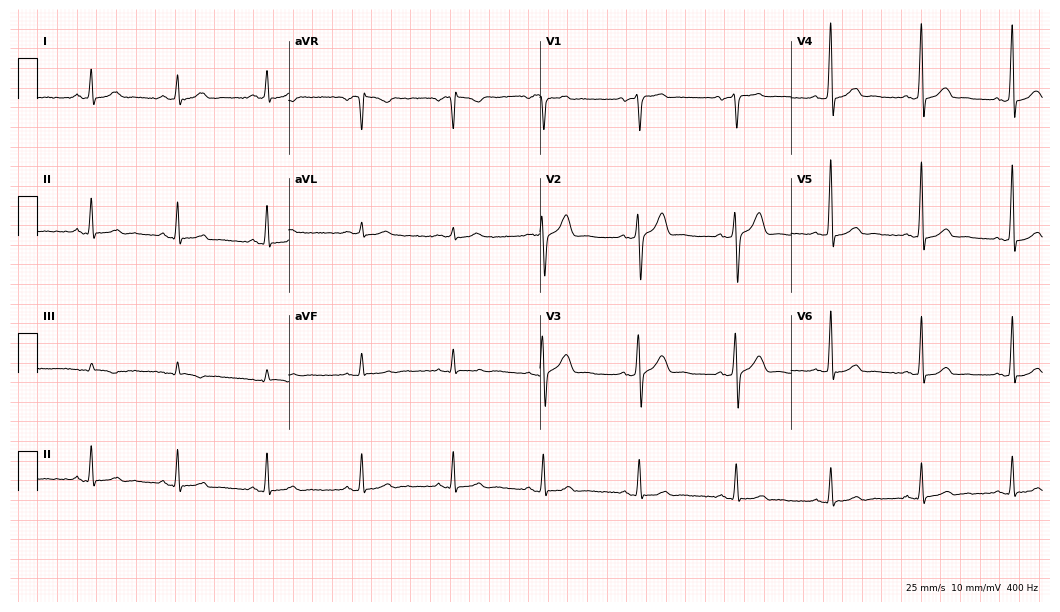
12-lead ECG (10.2-second recording at 400 Hz) from a 50-year-old female. Labelled as a normal ECG.